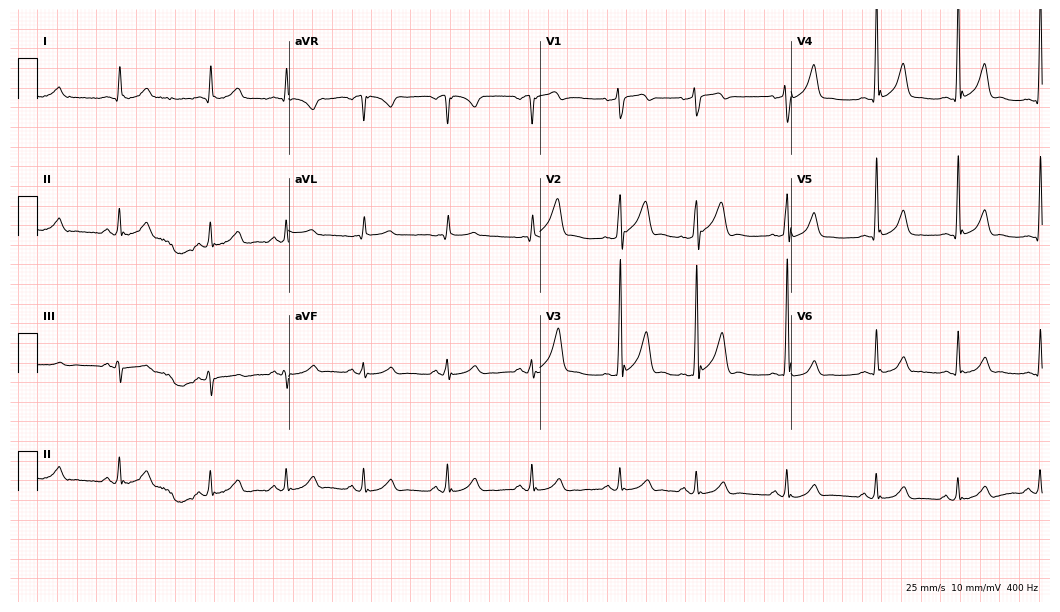
Electrocardiogram, a male patient, 48 years old. Overall reading on record: normal ECG.